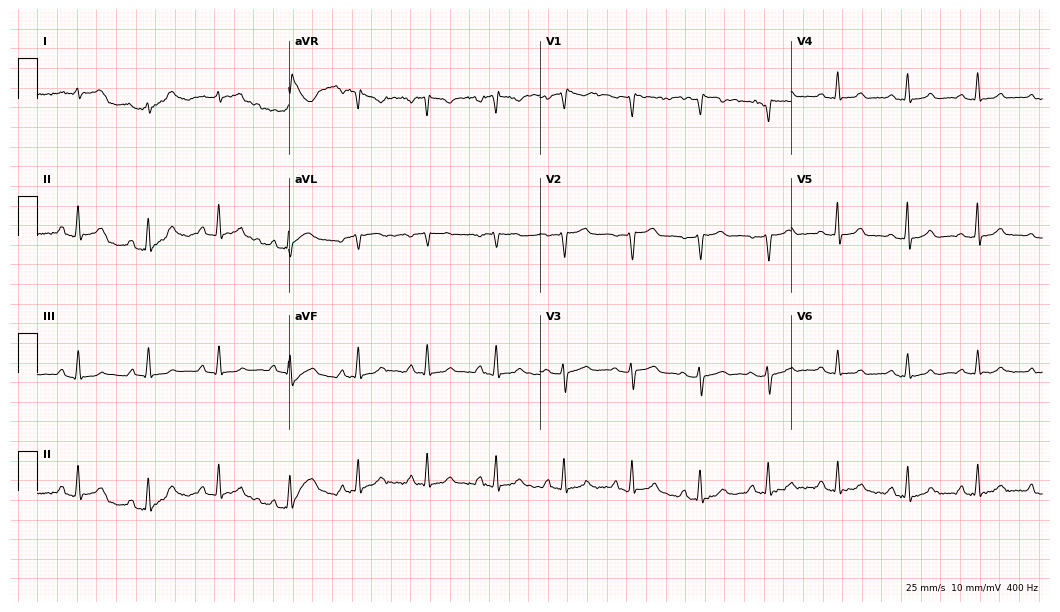
ECG (10.2-second recording at 400 Hz) — a 41-year-old female patient. Labelled as a normal ECG.